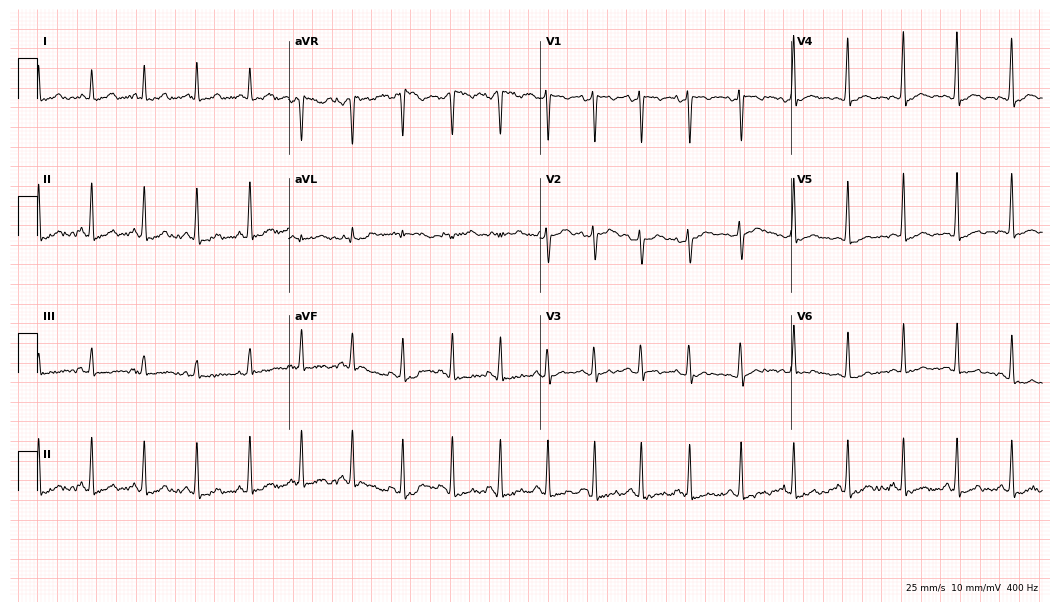
12-lead ECG from a 23-year-old female. No first-degree AV block, right bundle branch block, left bundle branch block, sinus bradycardia, atrial fibrillation or sinus tachycardia recorded for this tracing.